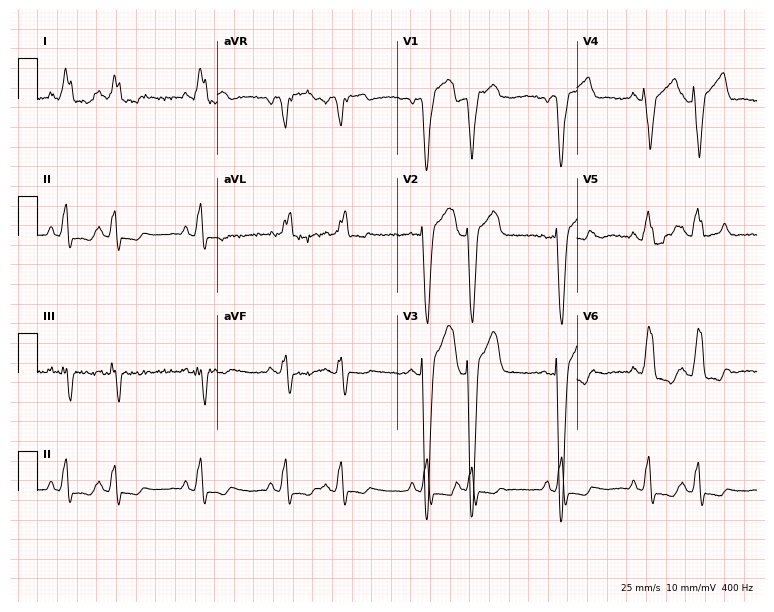
Electrocardiogram (7.3-second recording at 400 Hz), a male, 69 years old. Interpretation includes left bundle branch block.